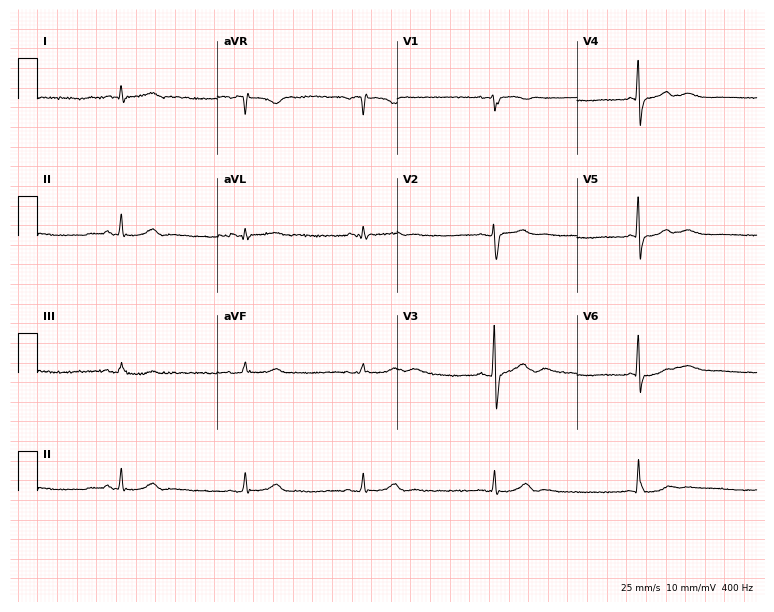
Standard 12-lead ECG recorded from a 55-year-old woman (7.3-second recording at 400 Hz). The tracing shows sinus bradycardia (a sinus rate of 50 beats per minute or less).